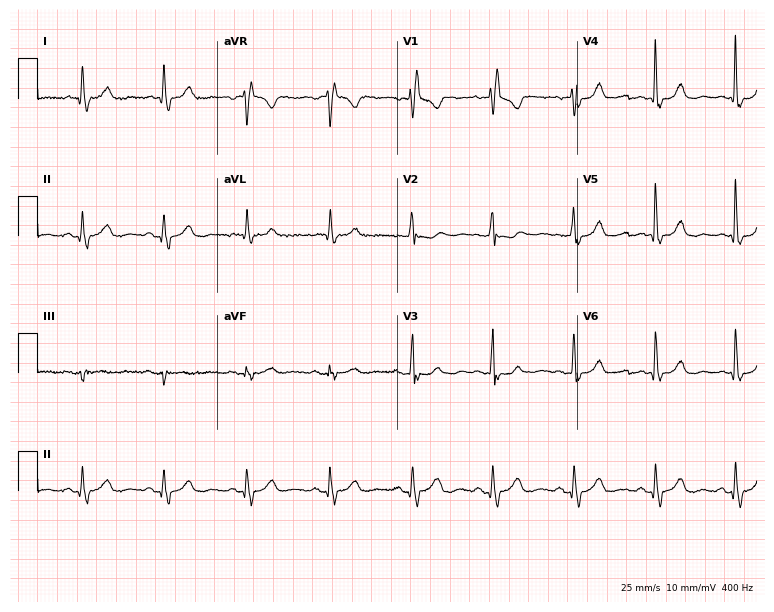
Resting 12-lead electrocardiogram (7.3-second recording at 400 Hz). Patient: a female, 77 years old. None of these six findings is recorded: first-degree AV block, right bundle branch block (RBBB), left bundle branch block (LBBB), sinus bradycardia, atrial fibrillation (AF), sinus tachycardia.